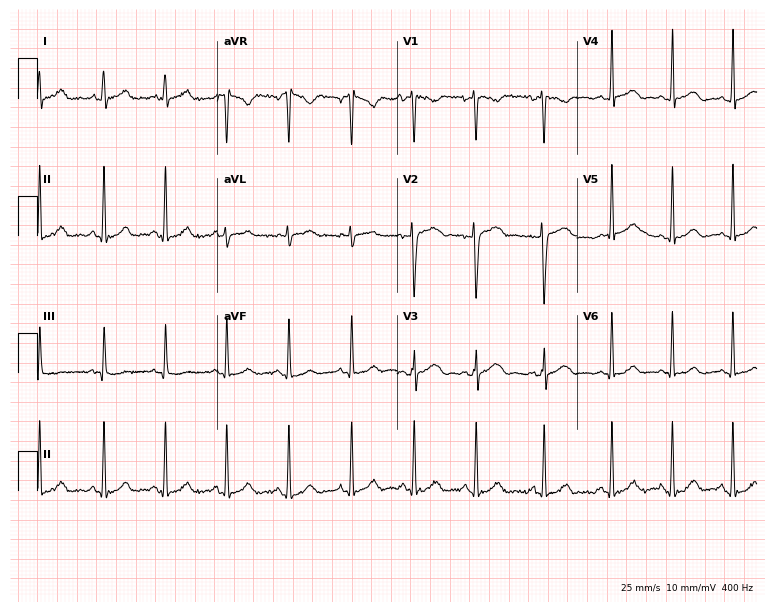
ECG — a 26-year-old woman. Labelled as a normal ECG.